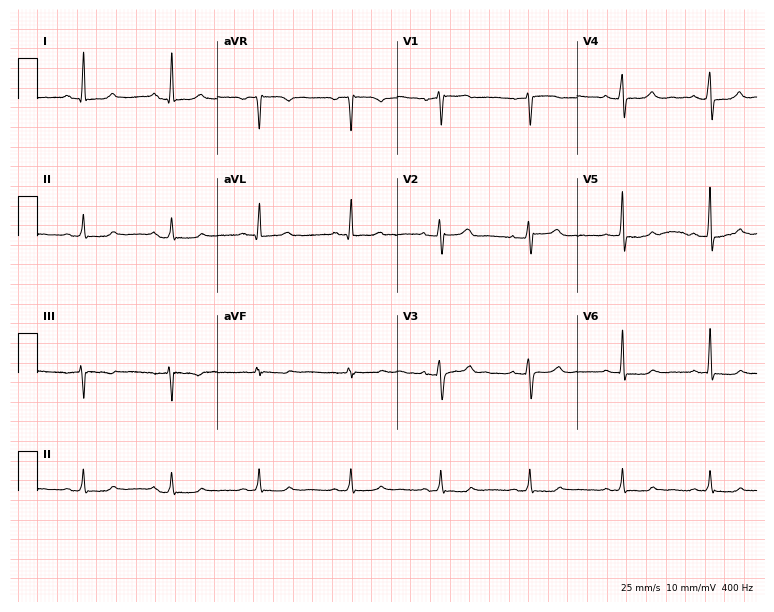
Standard 12-lead ECG recorded from a 45-year-old woman. Read as a normal ECG.